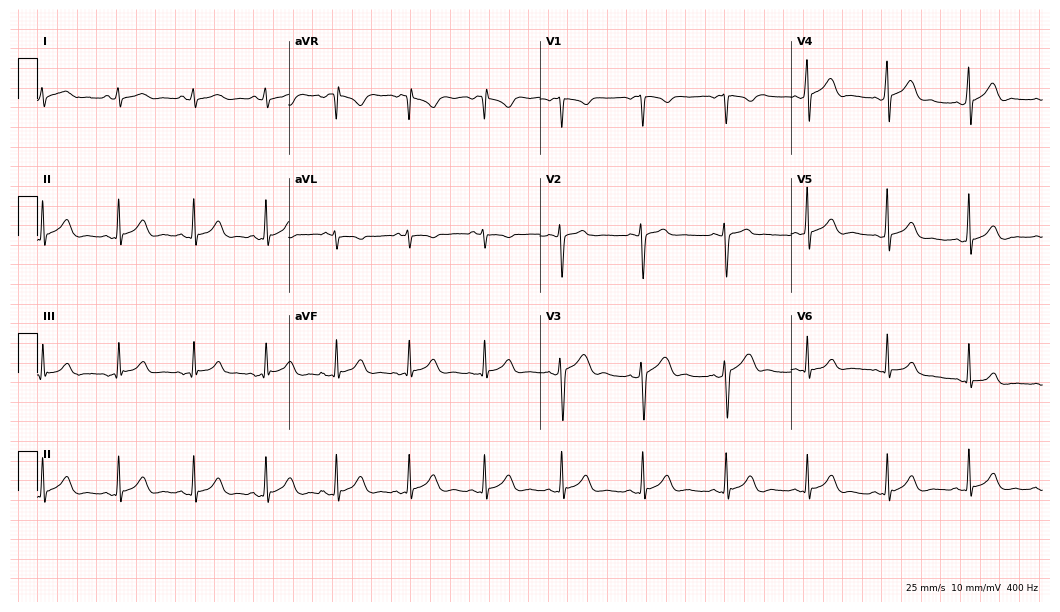
Electrocardiogram, a man, 22 years old. Overall reading on record: normal ECG.